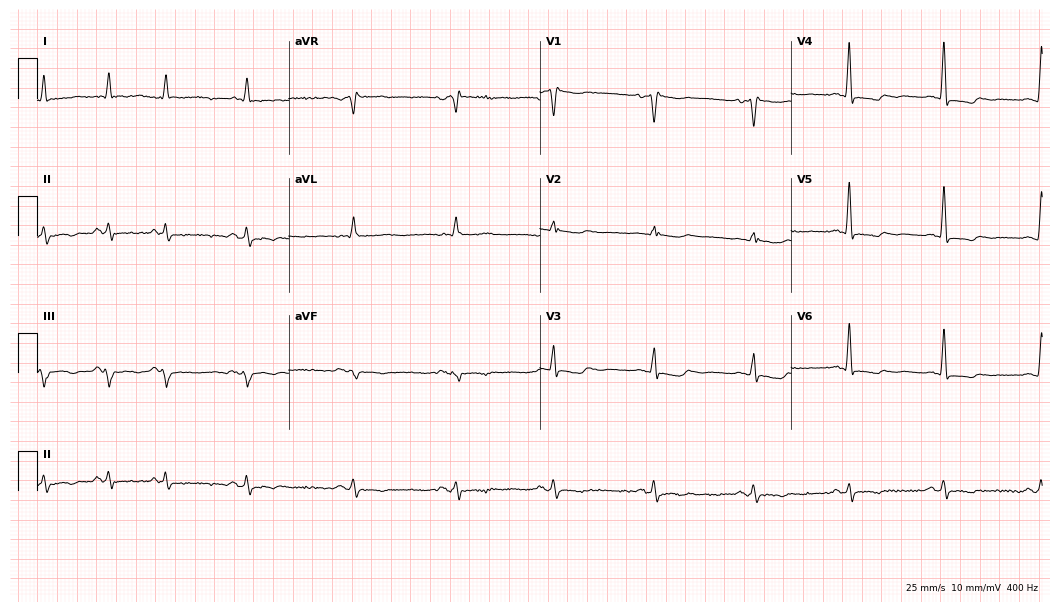
Resting 12-lead electrocardiogram. Patient: a woman, 56 years old. None of these six findings is recorded: first-degree AV block, right bundle branch block, left bundle branch block, sinus bradycardia, atrial fibrillation, sinus tachycardia.